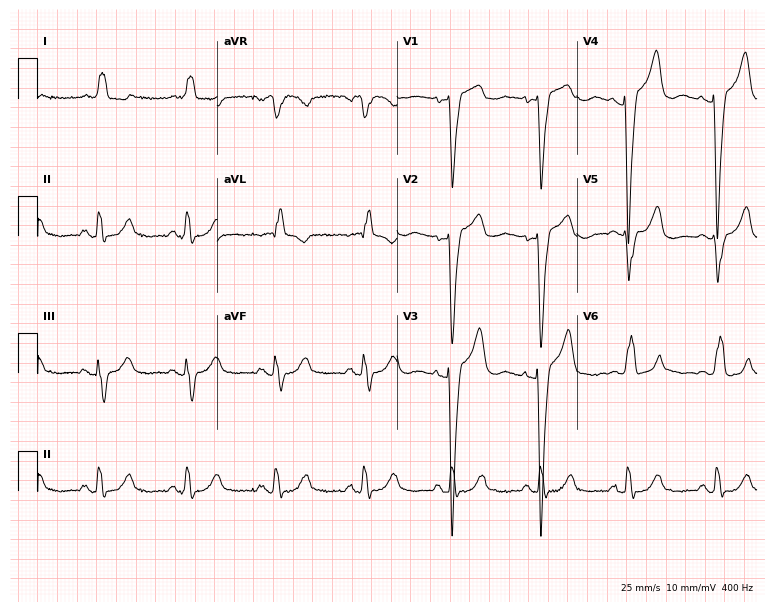
Resting 12-lead electrocardiogram (7.3-second recording at 400 Hz). Patient: a female, 78 years old. The tracing shows left bundle branch block (LBBB).